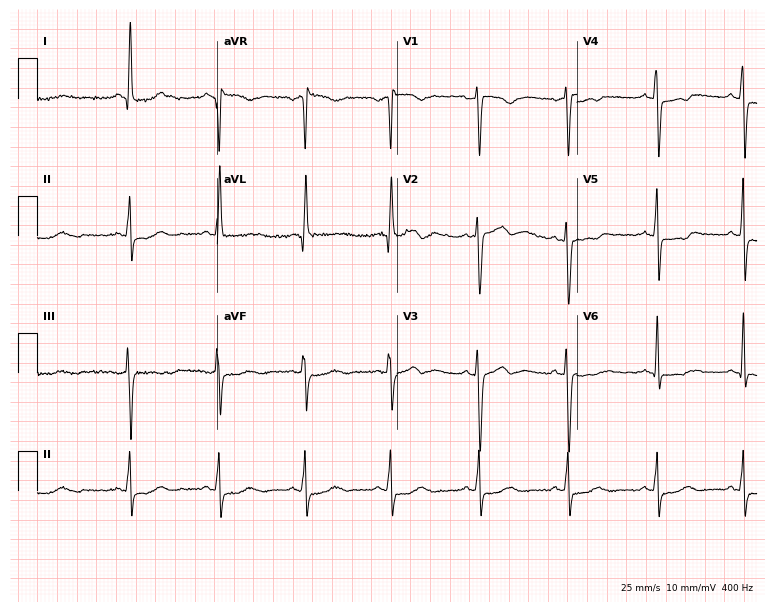
ECG (7.3-second recording at 400 Hz) — a 43-year-old female. Screened for six findings — first-degree AV block, right bundle branch block, left bundle branch block, sinus bradycardia, atrial fibrillation, sinus tachycardia — none is recorded.